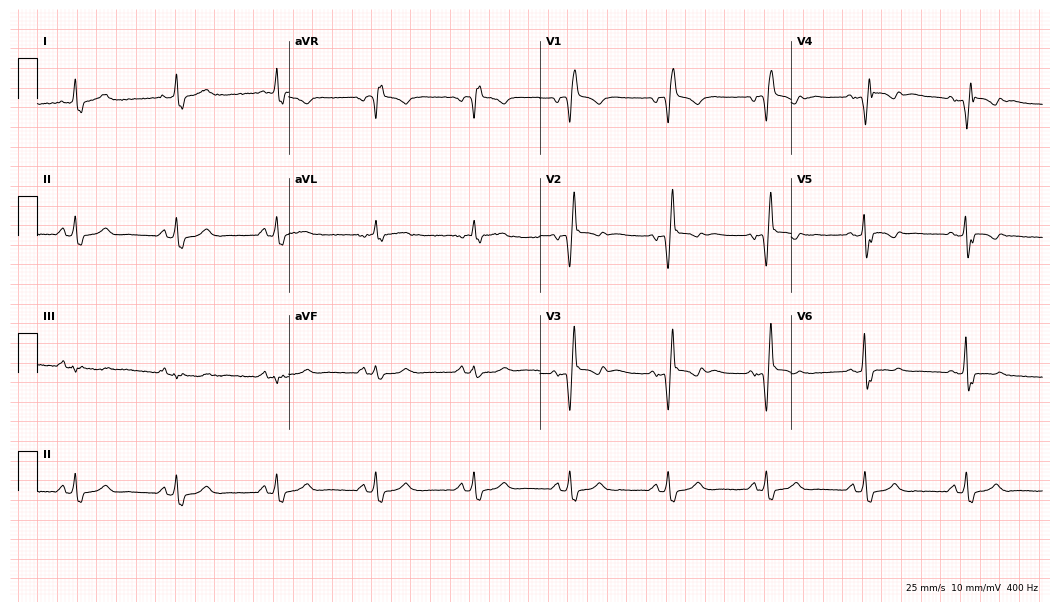
ECG — a 66-year-old male patient. Findings include right bundle branch block (RBBB).